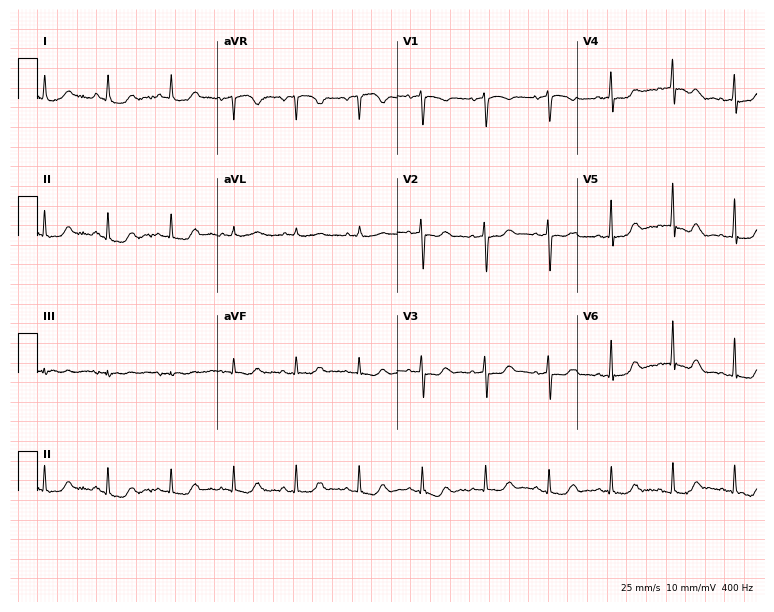
12-lead ECG (7.3-second recording at 400 Hz) from an 84-year-old woman. Labelled as a normal ECG.